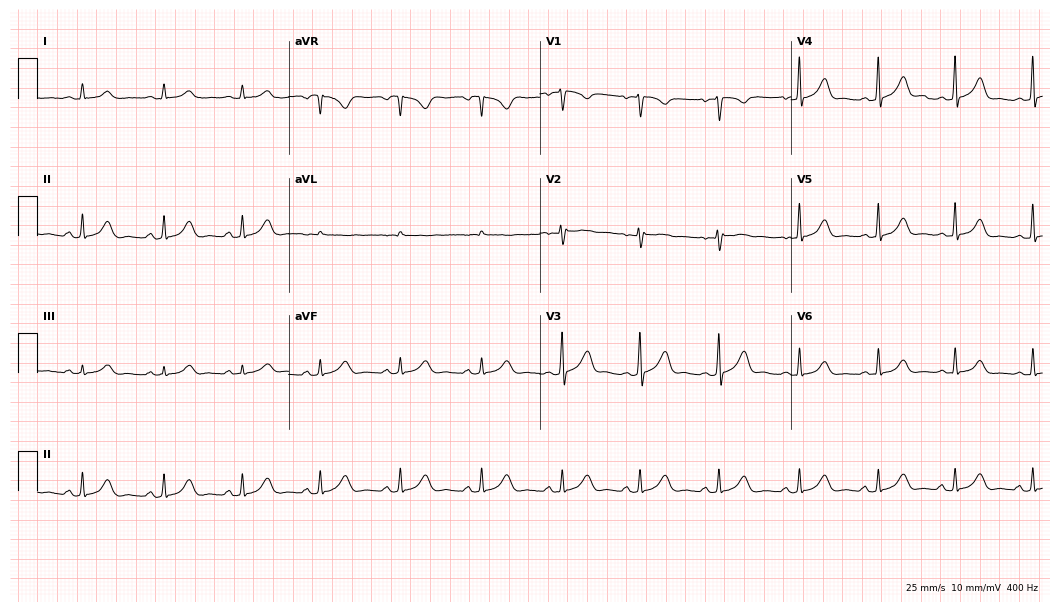
12-lead ECG from a 31-year-old female patient (10.2-second recording at 400 Hz). Recorded interpretation: within normal limits.